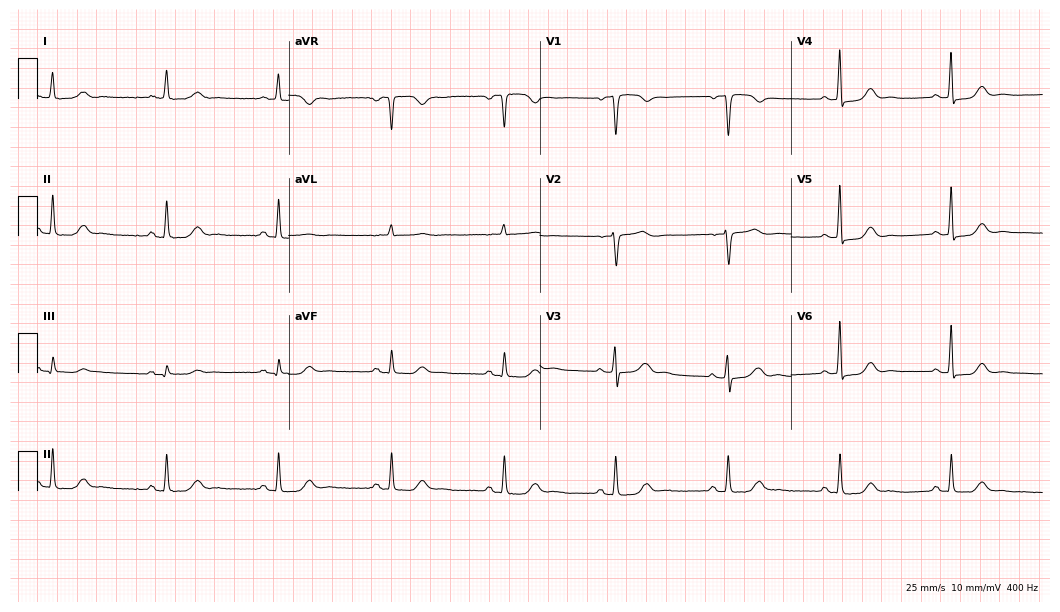
12-lead ECG from an 82-year-old female. Labelled as a normal ECG.